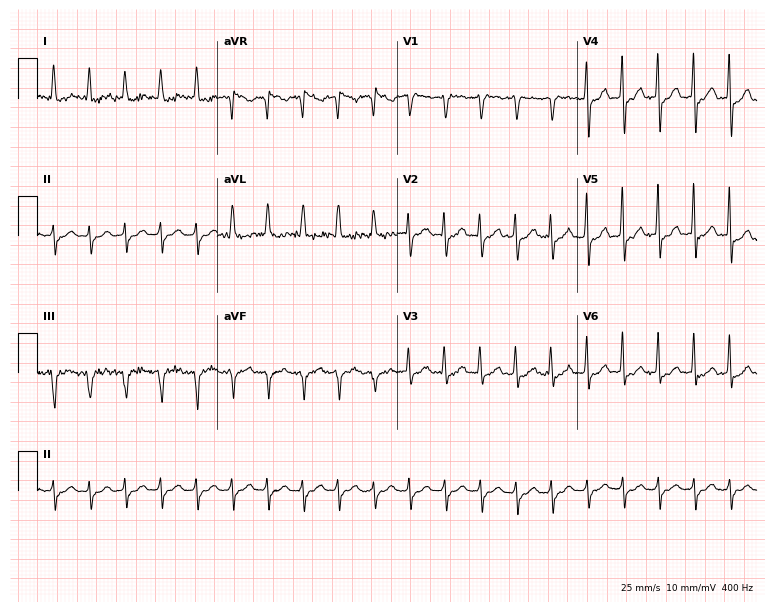
ECG — a 68-year-old female patient. Findings include sinus tachycardia (a sinus rate of 100 beats per minute or more).